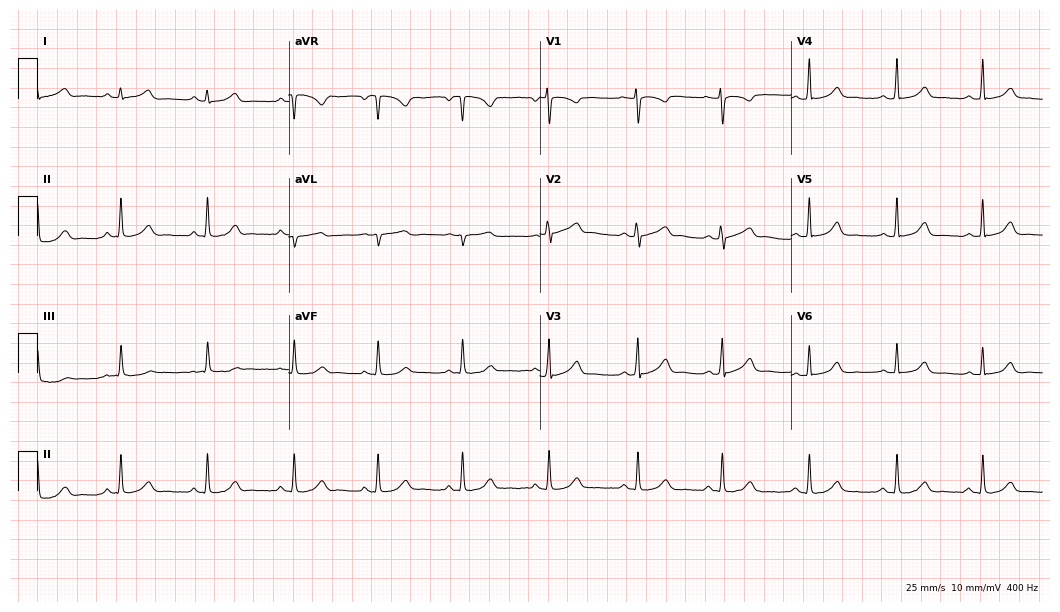
ECG — a 26-year-old female patient. Labelled as a normal ECG.